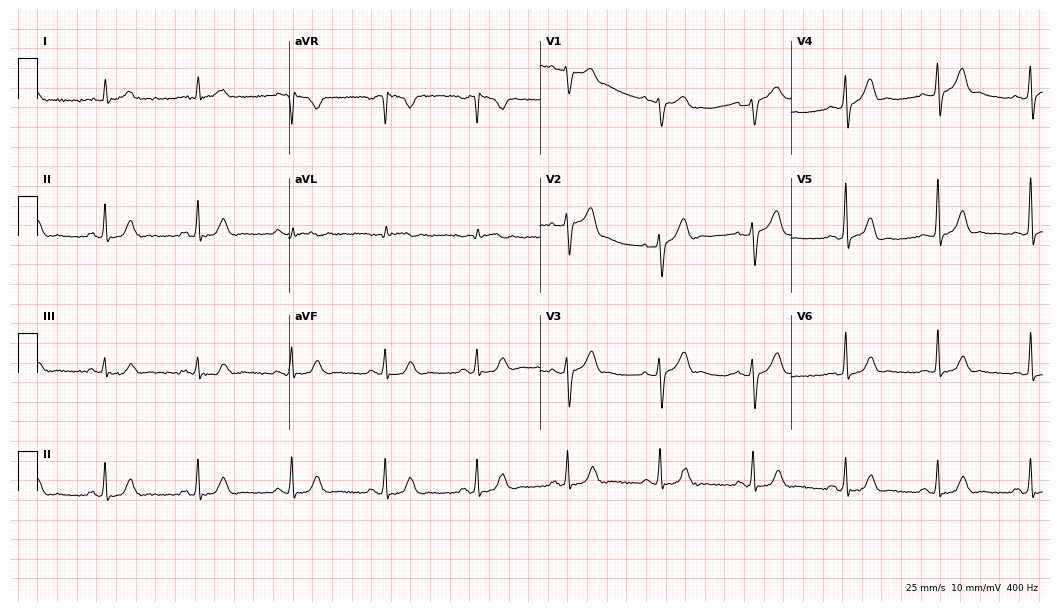
Standard 12-lead ECG recorded from a male, 66 years old (10.2-second recording at 400 Hz). Read as a normal ECG.